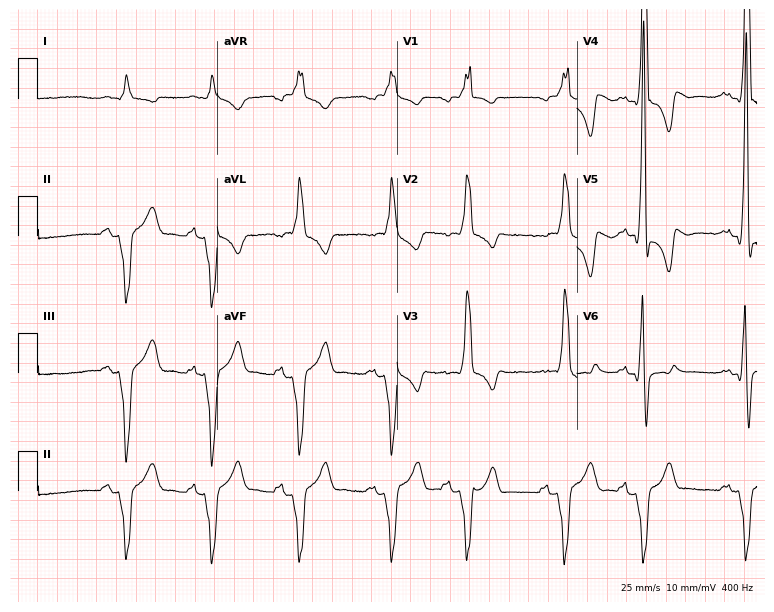
12-lead ECG (7.3-second recording at 400 Hz) from an 82-year-old male. Findings include right bundle branch block.